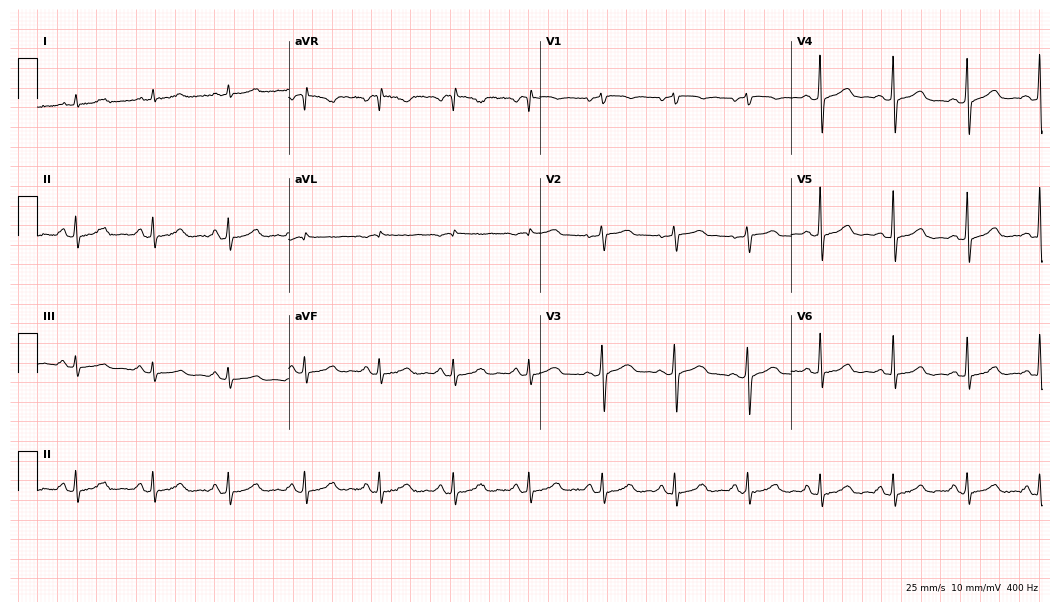
12-lead ECG (10.2-second recording at 400 Hz) from a man, 57 years old. Screened for six findings — first-degree AV block, right bundle branch block, left bundle branch block, sinus bradycardia, atrial fibrillation, sinus tachycardia — none is recorded. Other findings, if any, are not listed.